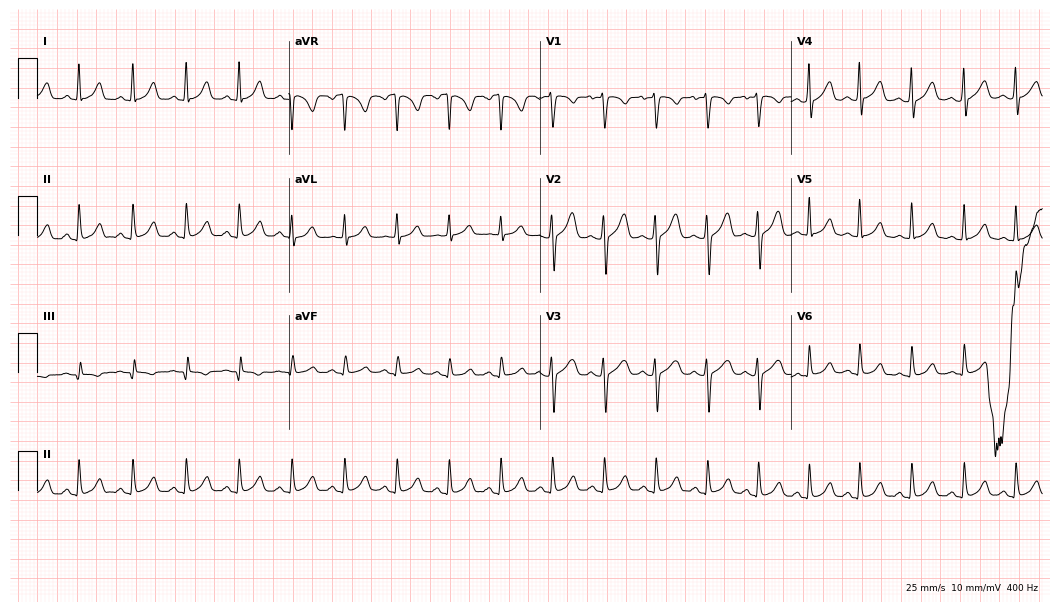
Standard 12-lead ECG recorded from a 20-year-old woman. The tracing shows sinus tachycardia (a sinus rate of 100 beats per minute or more).